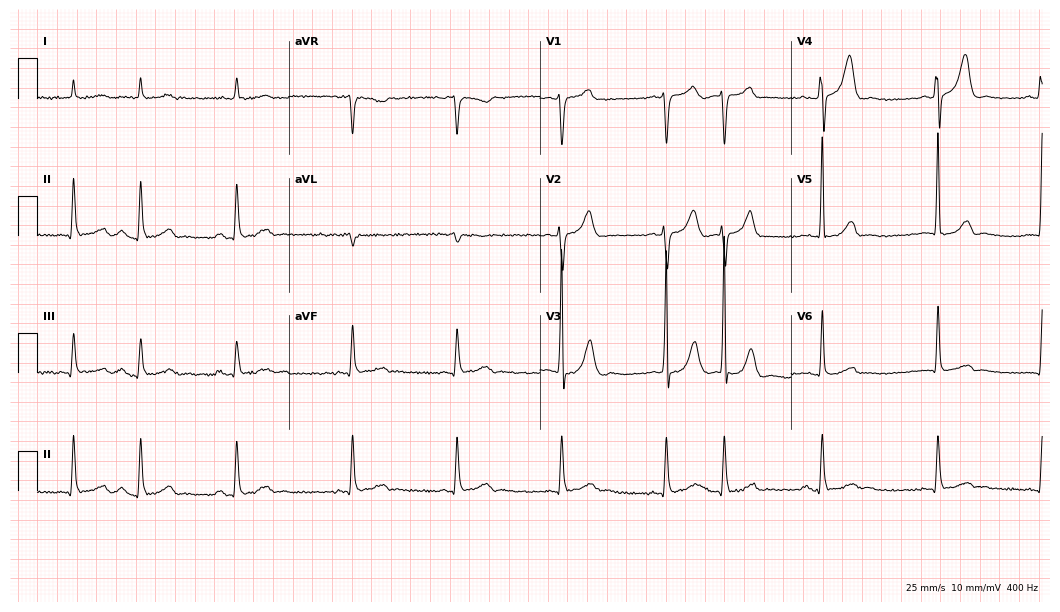
ECG (10.2-second recording at 400 Hz) — a male patient, 83 years old. Screened for six findings — first-degree AV block, right bundle branch block, left bundle branch block, sinus bradycardia, atrial fibrillation, sinus tachycardia — none is recorded. Findings outside these six are not listed.